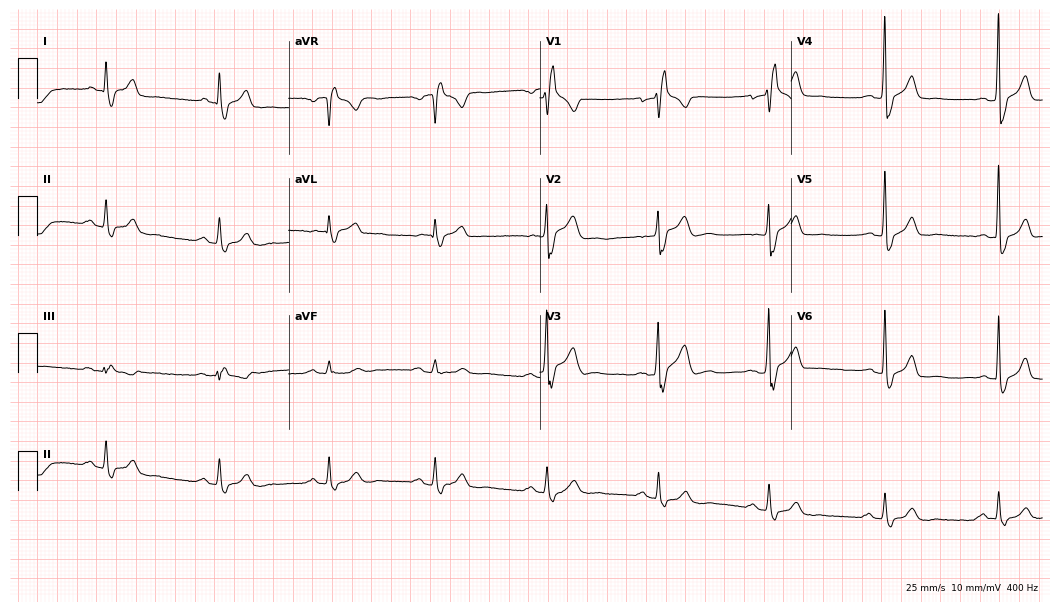
Electrocardiogram (10.2-second recording at 400 Hz), a 52-year-old male. Interpretation includes right bundle branch block (RBBB).